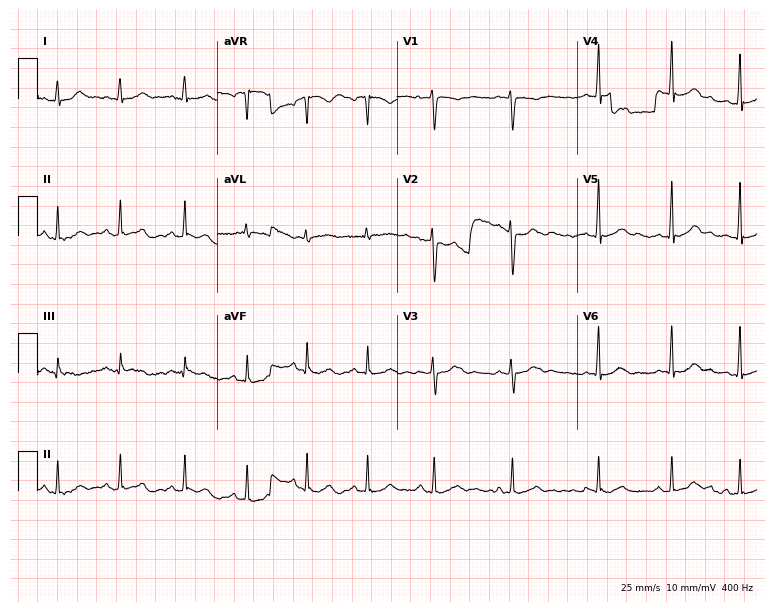
12-lead ECG from a female patient, 24 years old (7.3-second recording at 400 Hz). No first-degree AV block, right bundle branch block, left bundle branch block, sinus bradycardia, atrial fibrillation or sinus tachycardia recorded for this tracing.